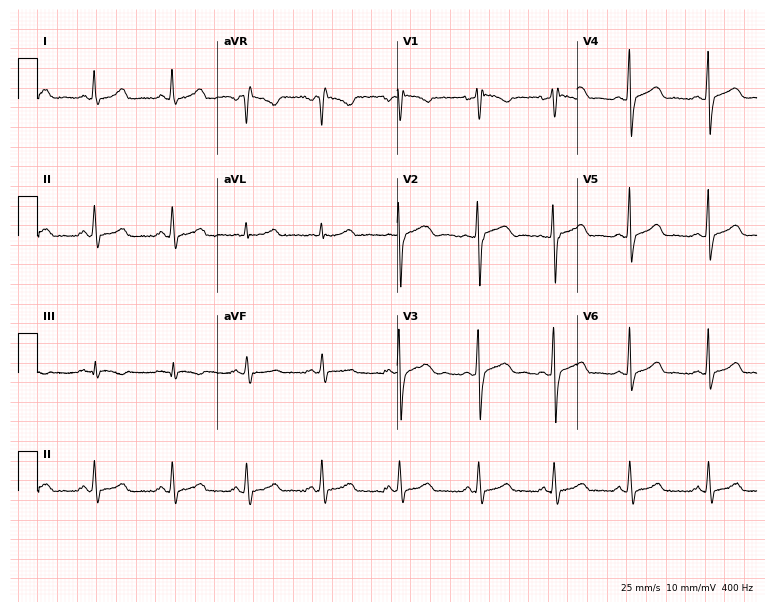
12-lead ECG (7.3-second recording at 400 Hz) from a woman, 30 years old. Screened for six findings — first-degree AV block, right bundle branch block, left bundle branch block, sinus bradycardia, atrial fibrillation, sinus tachycardia — none is recorded. Findings outside these six are not listed.